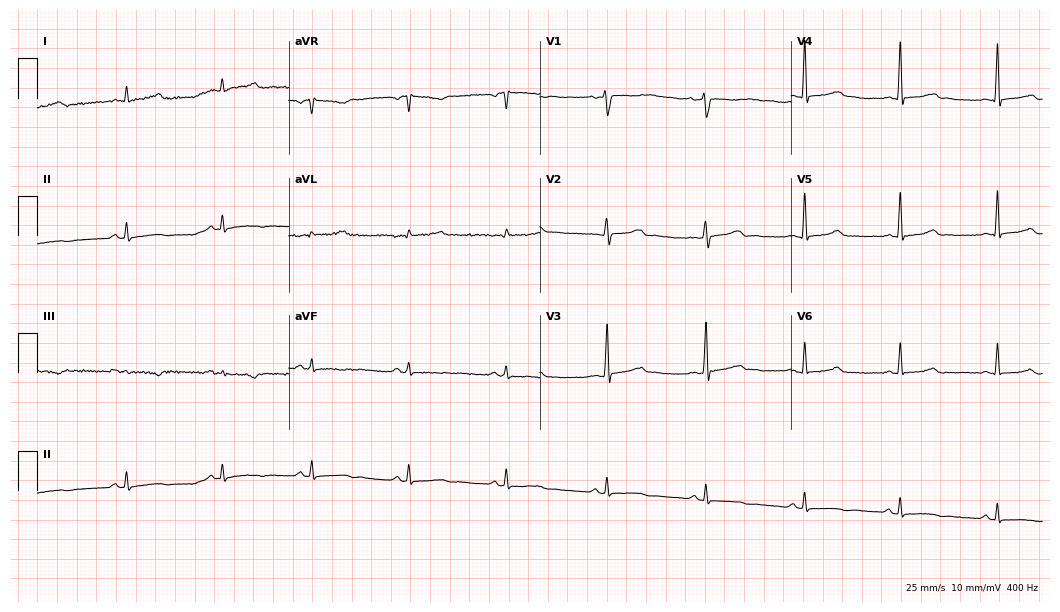
Standard 12-lead ECG recorded from a 34-year-old female patient. Read as a normal ECG.